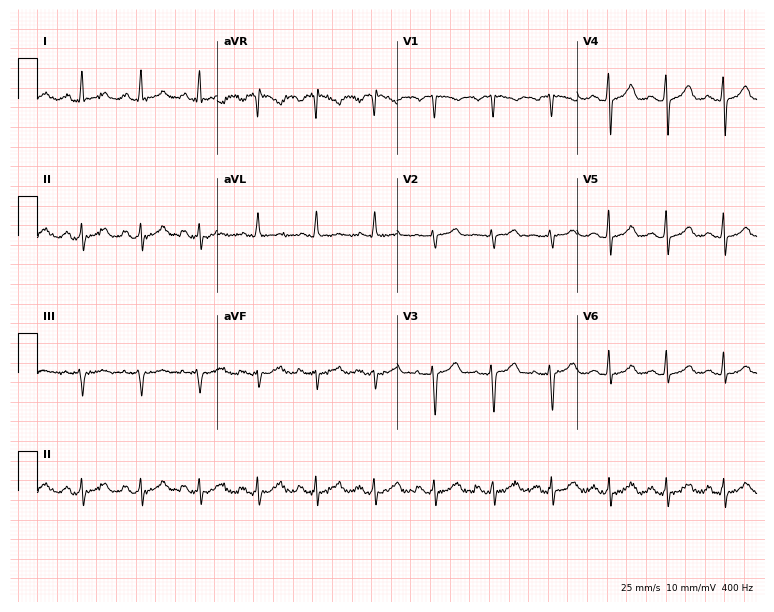
Standard 12-lead ECG recorded from a 58-year-old female patient (7.3-second recording at 400 Hz). Read as a normal ECG.